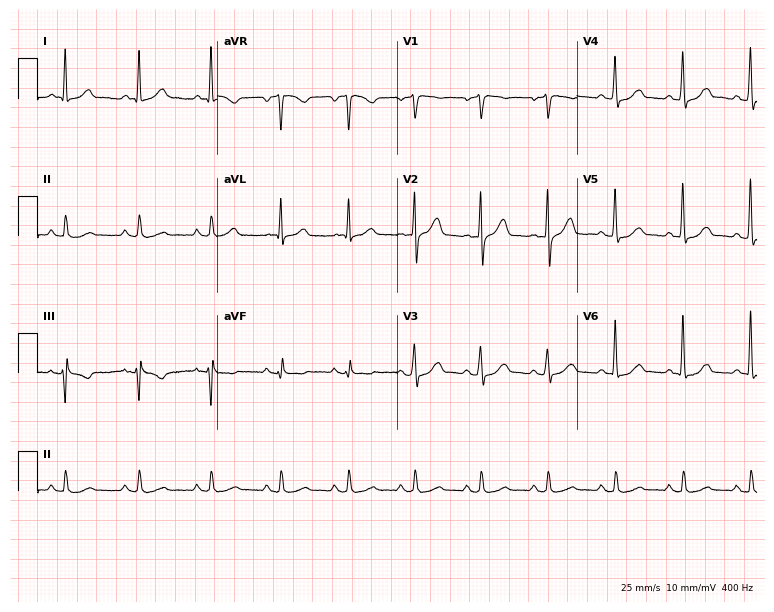
12-lead ECG from a 55-year-old male. Screened for six findings — first-degree AV block, right bundle branch block, left bundle branch block, sinus bradycardia, atrial fibrillation, sinus tachycardia — none is recorded. Findings outside these six are not listed.